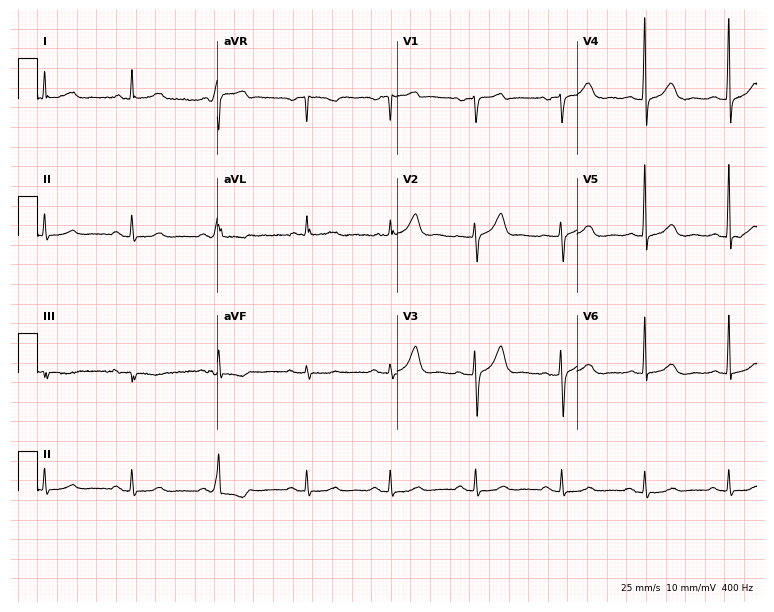
Resting 12-lead electrocardiogram (7.3-second recording at 400 Hz). Patient: a 71-year-old male. None of these six findings is recorded: first-degree AV block, right bundle branch block, left bundle branch block, sinus bradycardia, atrial fibrillation, sinus tachycardia.